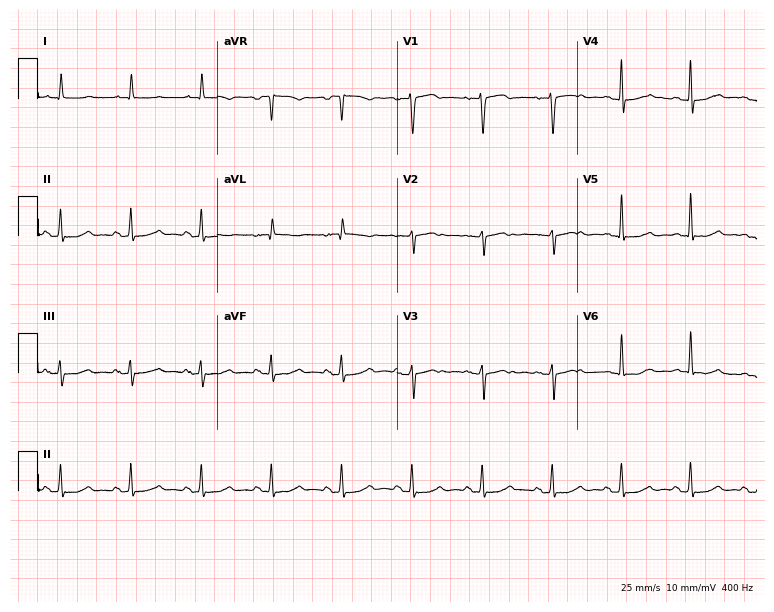
12-lead ECG from an 83-year-old female patient. Screened for six findings — first-degree AV block, right bundle branch block, left bundle branch block, sinus bradycardia, atrial fibrillation, sinus tachycardia — none is recorded. Findings outside these six are not listed.